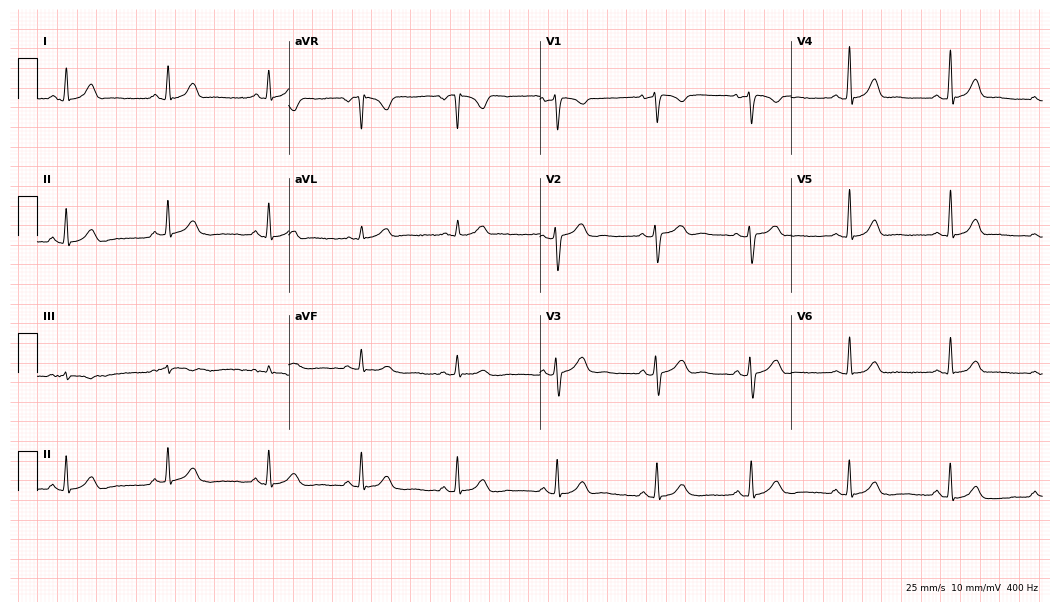
12-lead ECG from a female patient, 36 years old. No first-degree AV block, right bundle branch block, left bundle branch block, sinus bradycardia, atrial fibrillation or sinus tachycardia recorded for this tracing. Other findings, if any, are not listed.